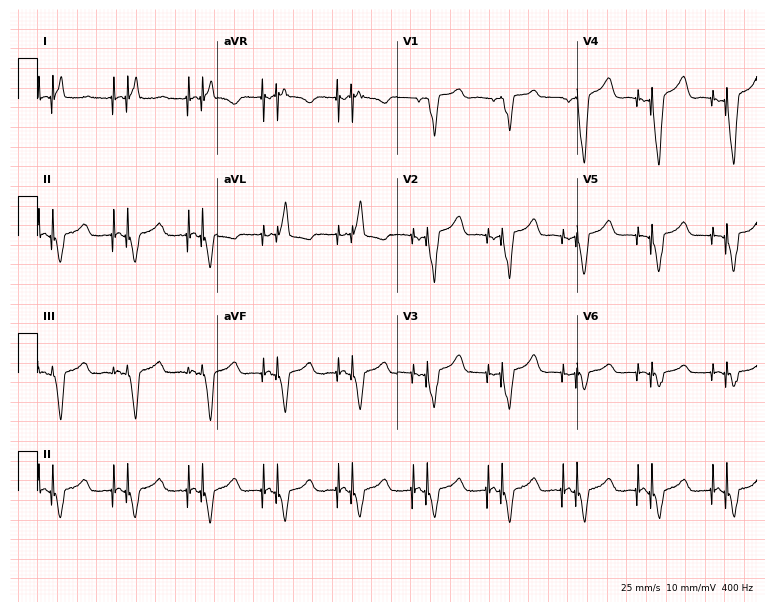
ECG (7.3-second recording at 400 Hz) — a 61-year-old woman. Screened for six findings — first-degree AV block, right bundle branch block, left bundle branch block, sinus bradycardia, atrial fibrillation, sinus tachycardia — none is recorded. Findings outside these six are not listed.